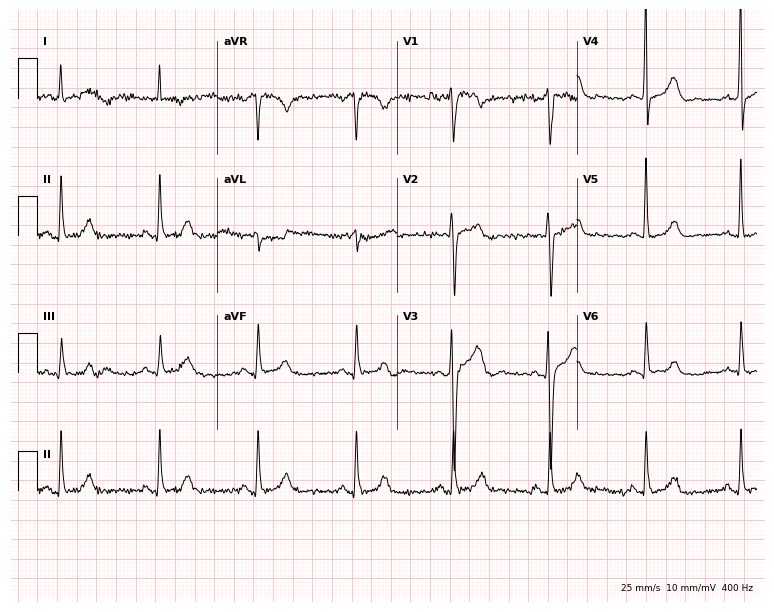
Standard 12-lead ECG recorded from a woman, 48 years old. None of these six findings is recorded: first-degree AV block, right bundle branch block, left bundle branch block, sinus bradycardia, atrial fibrillation, sinus tachycardia. Findings outside these six are not listed.